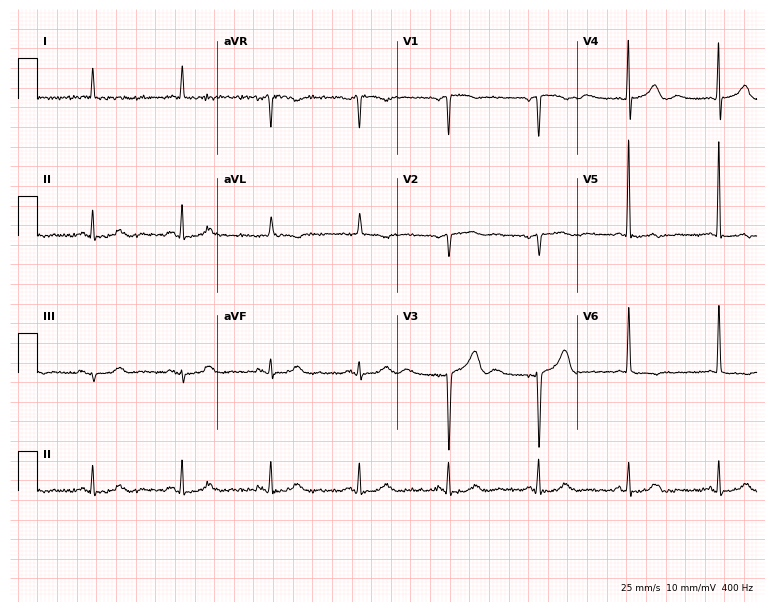
ECG (7.3-second recording at 400 Hz) — a 72-year-old male patient. Screened for six findings — first-degree AV block, right bundle branch block, left bundle branch block, sinus bradycardia, atrial fibrillation, sinus tachycardia — none is recorded. Findings outside these six are not listed.